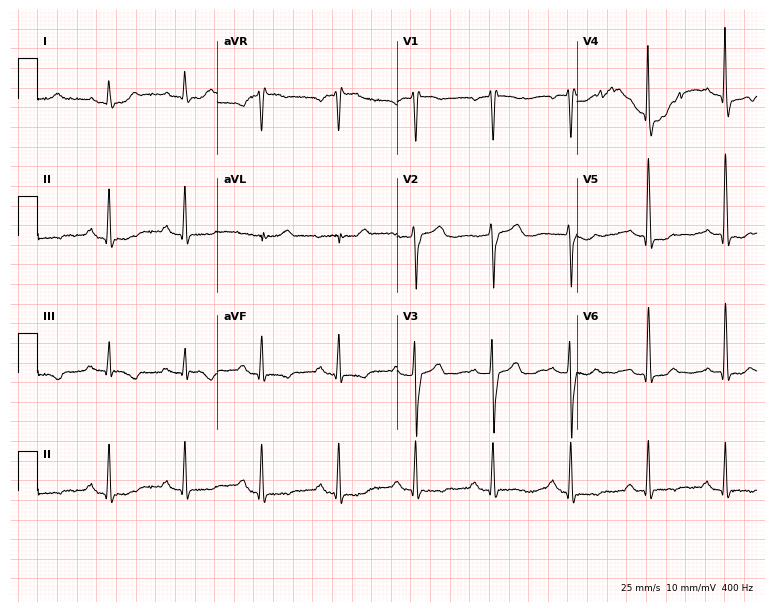
Standard 12-lead ECG recorded from a woman, 83 years old (7.3-second recording at 400 Hz). None of these six findings is recorded: first-degree AV block, right bundle branch block, left bundle branch block, sinus bradycardia, atrial fibrillation, sinus tachycardia. Findings outside these six are not listed.